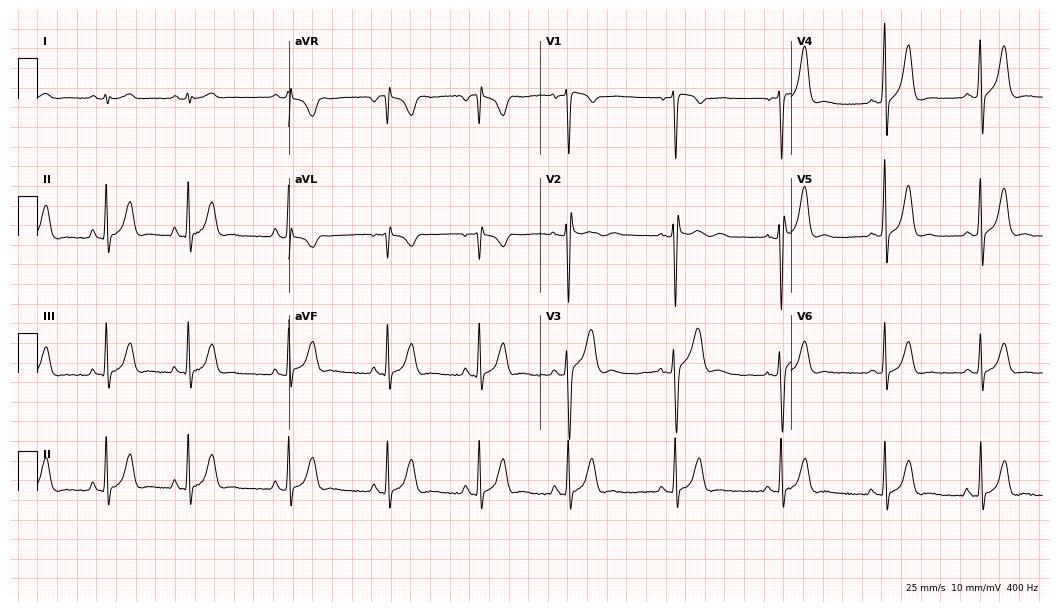
Electrocardiogram (10.2-second recording at 400 Hz), a man, 24 years old. Of the six screened findings (first-degree AV block, right bundle branch block (RBBB), left bundle branch block (LBBB), sinus bradycardia, atrial fibrillation (AF), sinus tachycardia), none is recorded.